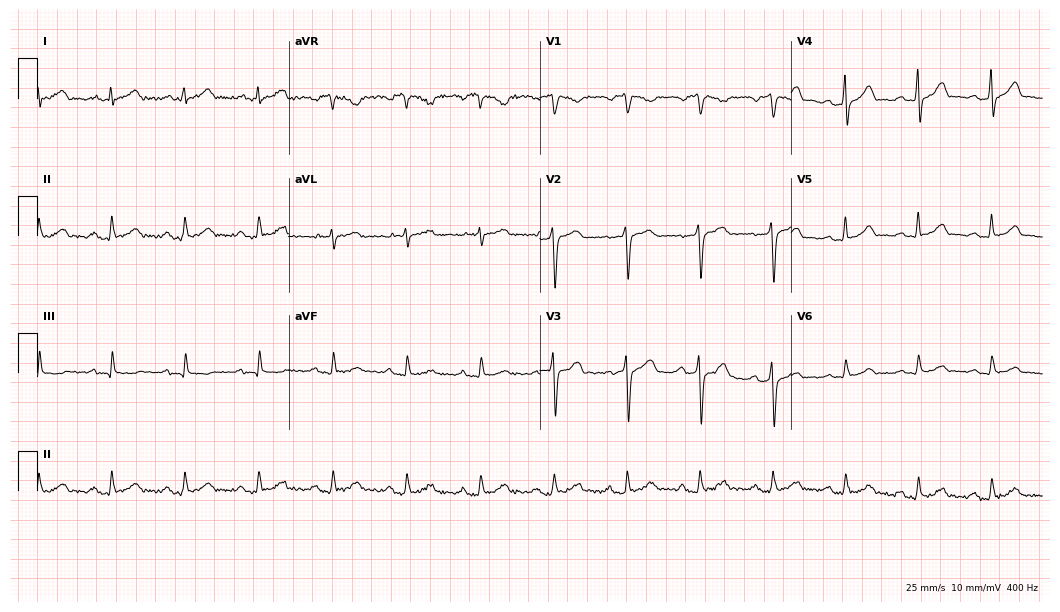
12-lead ECG from a 44-year-old male patient (10.2-second recording at 400 Hz). Recorded interpretation: within normal limits.